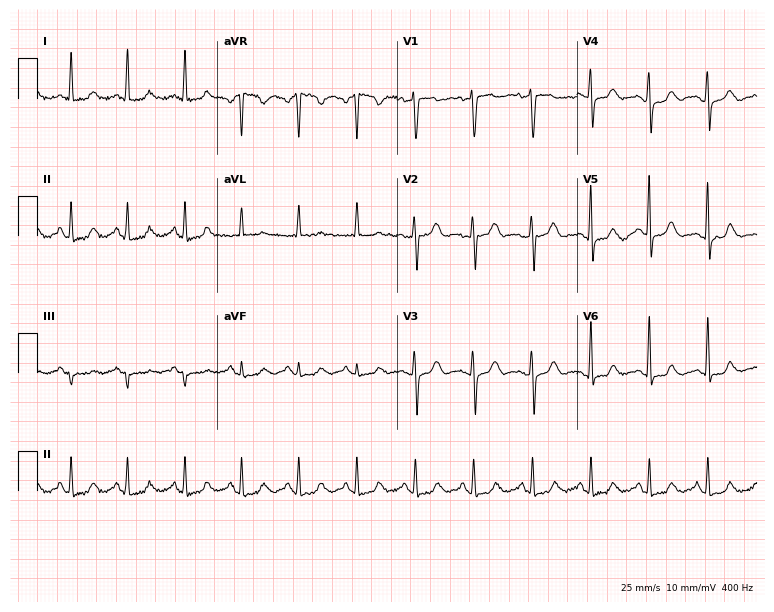
ECG — a woman, 78 years old. Findings include sinus tachycardia (a sinus rate of 100 beats per minute or more).